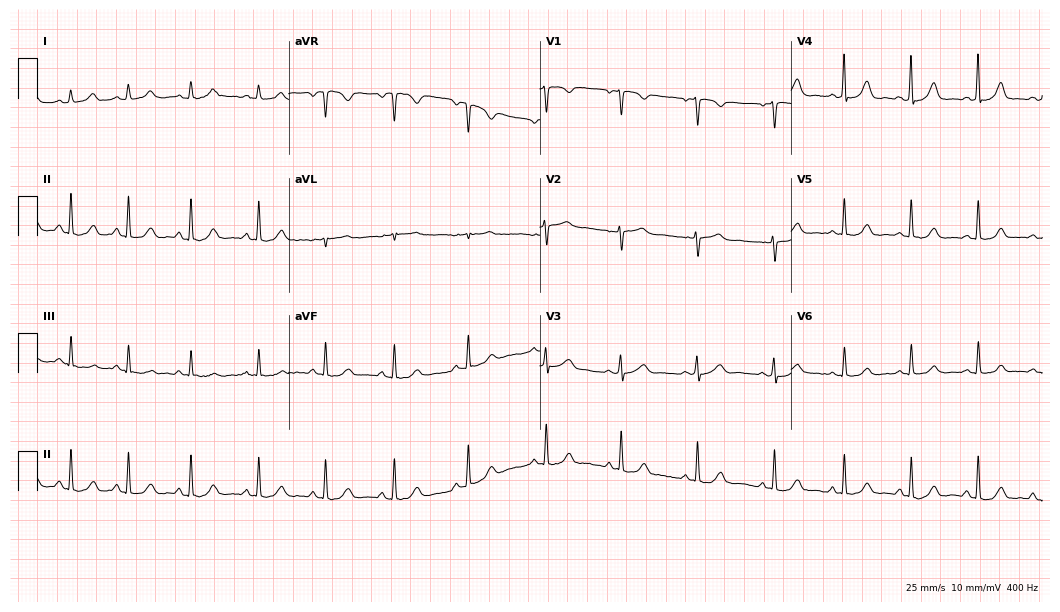
Resting 12-lead electrocardiogram. Patient: a female, 30 years old. None of these six findings is recorded: first-degree AV block, right bundle branch block, left bundle branch block, sinus bradycardia, atrial fibrillation, sinus tachycardia.